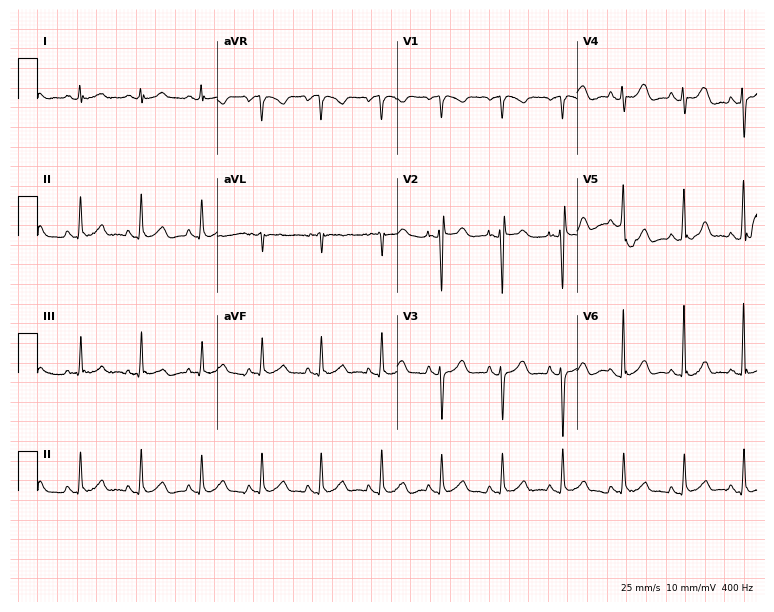
Standard 12-lead ECG recorded from a 50-year-old female patient. None of these six findings is recorded: first-degree AV block, right bundle branch block (RBBB), left bundle branch block (LBBB), sinus bradycardia, atrial fibrillation (AF), sinus tachycardia.